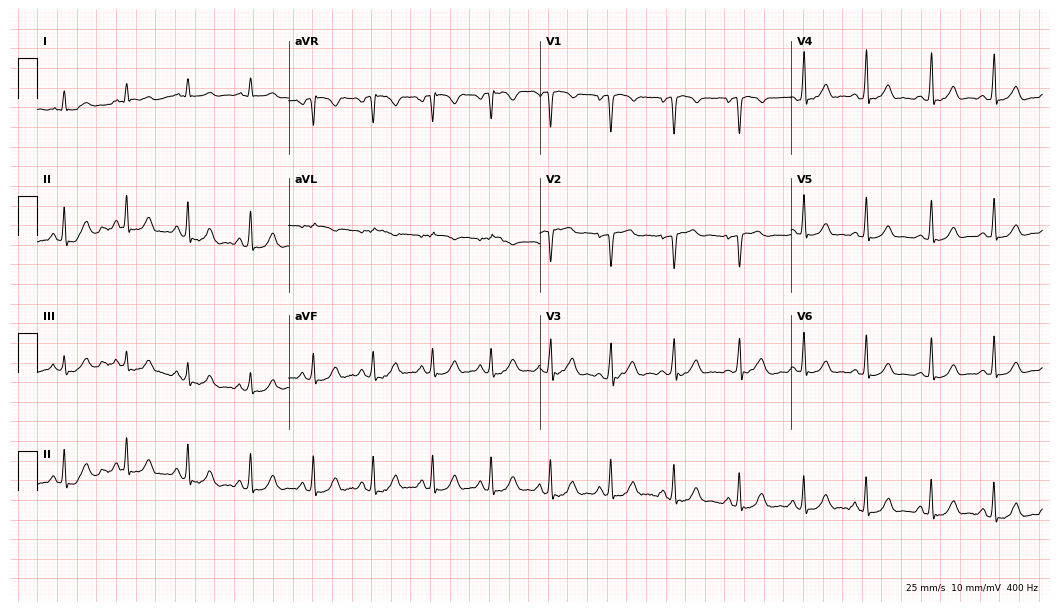
ECG (10.2-second recording at 400 Hz) — a 20-year-old female. Labelled as a normal ECG.